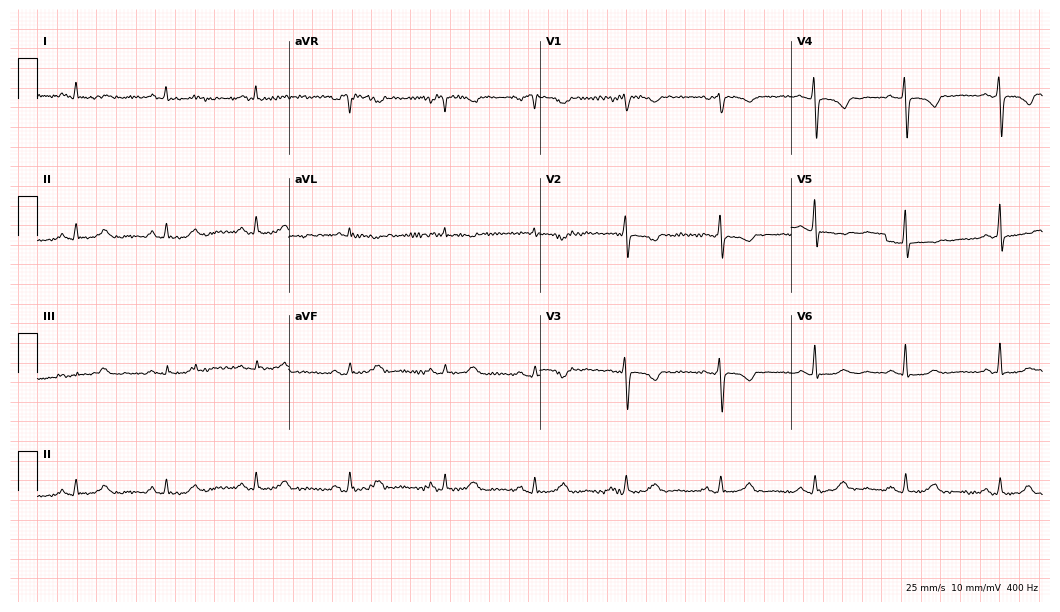
12-lead ECG (10.2-second recording at 400 Hz) from a 62-year-old female patient. Screened for six findings — first-degree AV block, right bundle branch block, left bundle branch block, sinus bradycardia, atrial fibrillation, sinus tachycardia — none is recorded. Other findings, if any, are not listed.